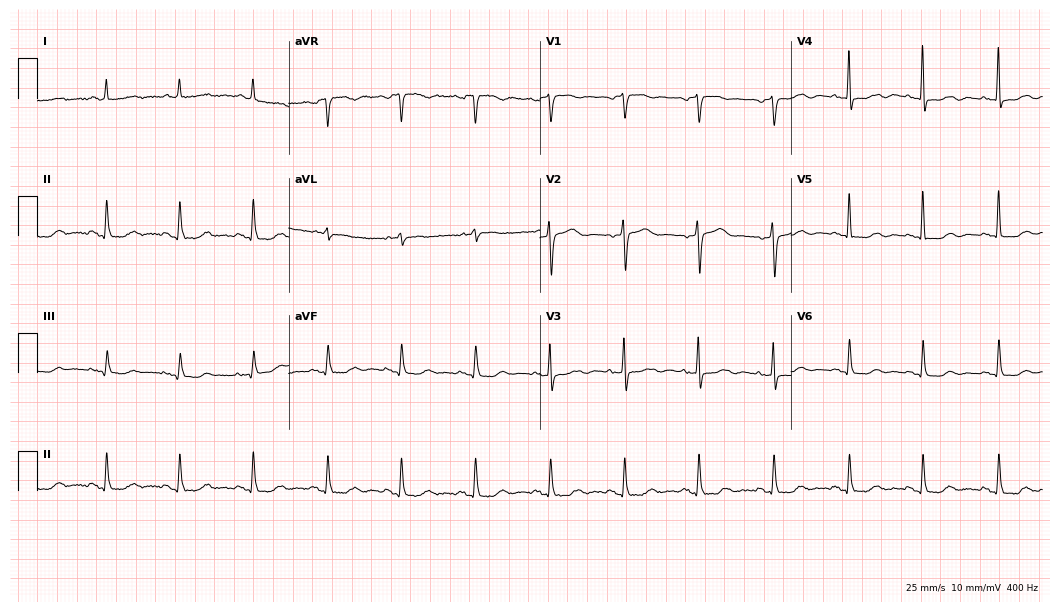
Electrocardiogram (10.2-second recording at 400 Hz), an 84-year-old female patient. Of the six screened findings (first-degree AV block, right bundle branch block (RBBB), left bundle branch block (LBBB), sinus bradycardia, atrial fibrillation (AF), sinus tachycardia), none is recorded.